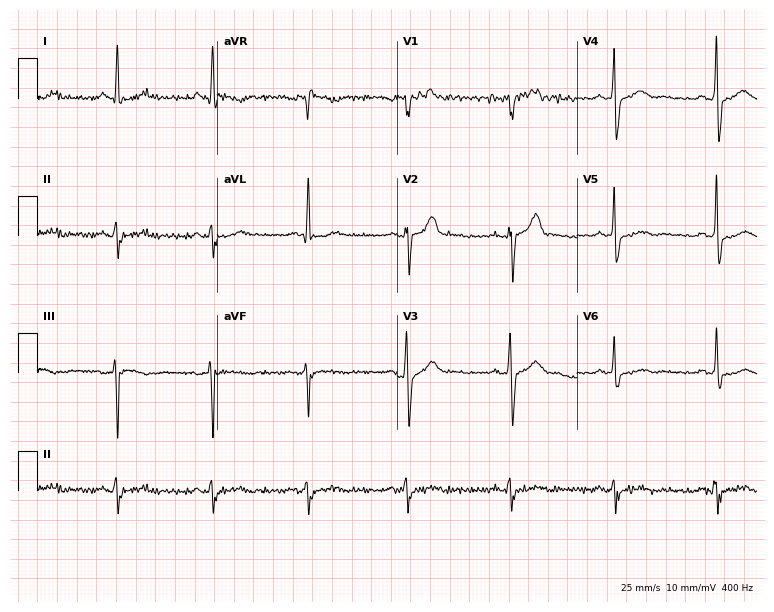
Resting 12-lead electrocardiogram. Patient: a 53-year-old man. None of these six findings is recorded: first-degree AV block, right bundle branch block, left bundle branch block, sinus bradycardia, atrial fibrillation, sinus tachycardia. Other findings, if any, are not listed.